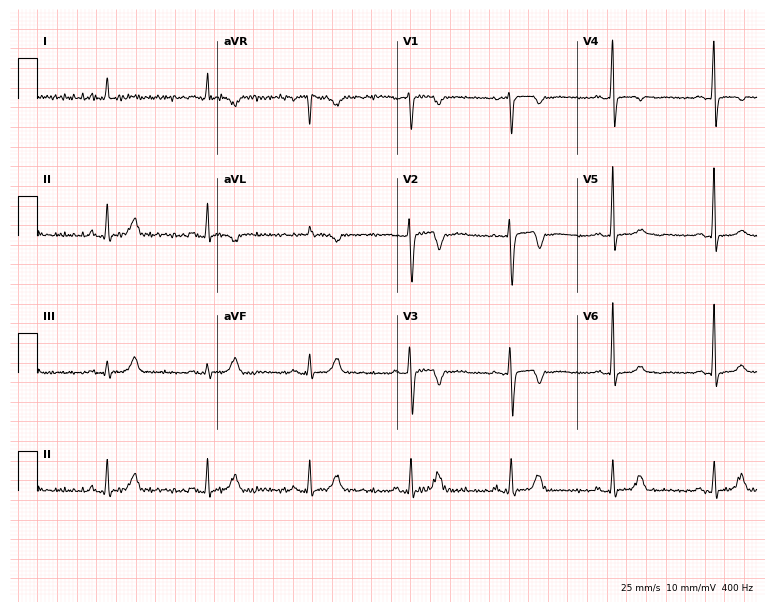
Electrocardiogram, a 63-year-old female patient. Of the six screened findings (first-degree AV block, right bundle branch block, left bundle branch block, sinus bradycardia, atrial fibrillation, sinus tachycardia), none is recorded.